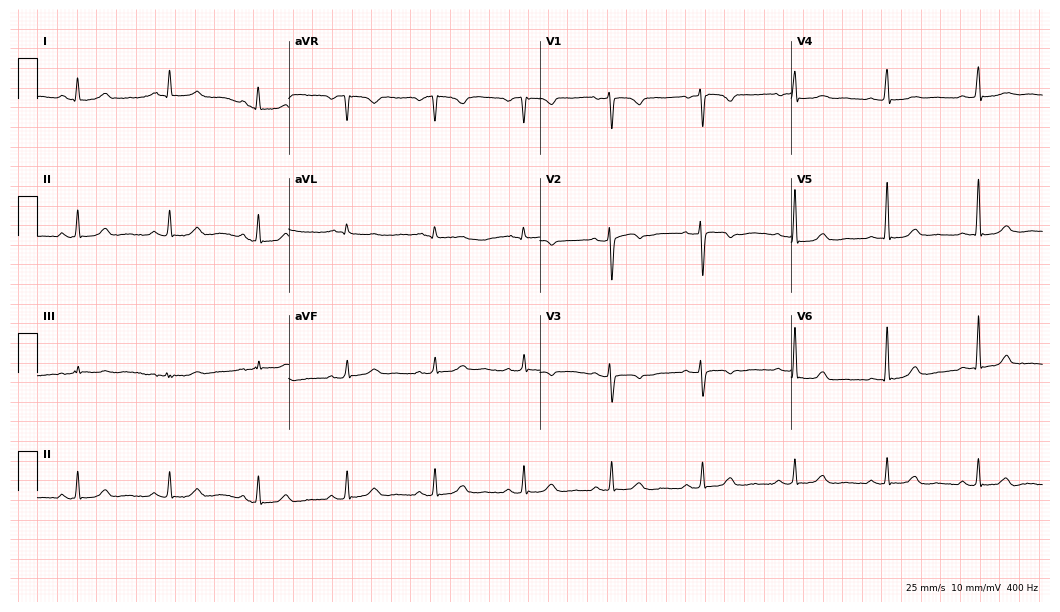
Standard 12-lead ECG recorded from a 47-year-old woman (10.2-second recording at 400 Hz). None of these six findings is recorded: first-degree AV block, right bundle branch block, left bundle branch block, sinus bradycardia, atrial fibrillation, sinus tachycardia. Findings outside these six are not listed.